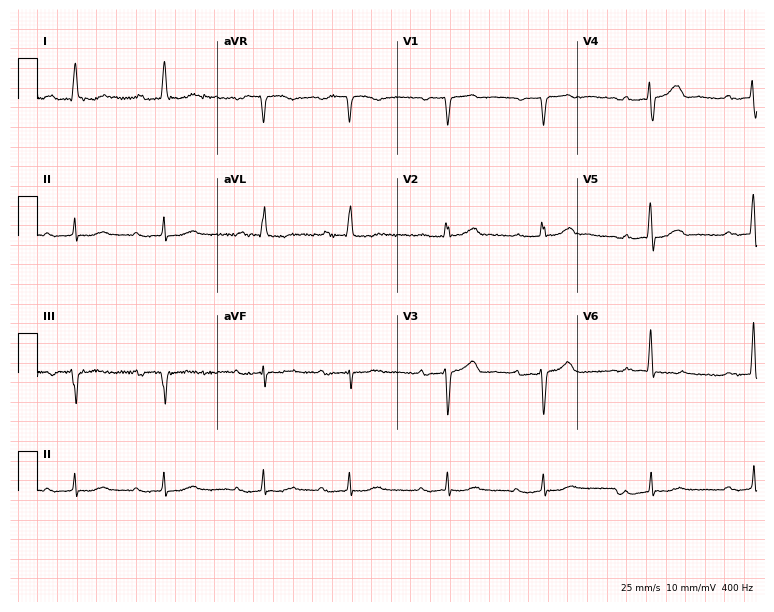
12-lead ECG from a 79-year-old male patient. Shows first-degree AV block.